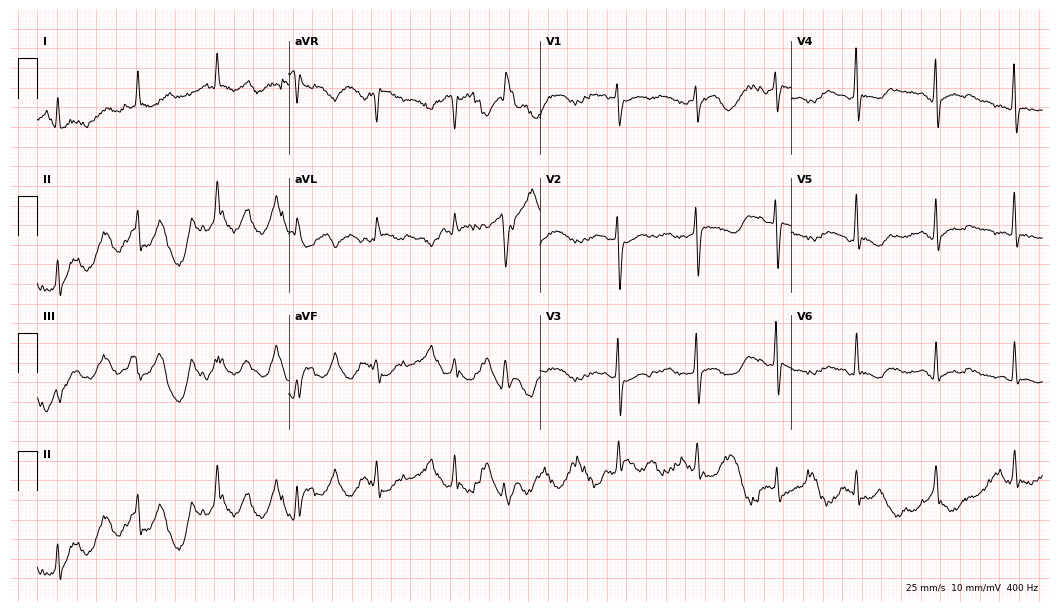
12-lead ECG (10.2-second recording at 400 Hz) from a female patient, 82 years old. Screened for six findings — first-degree AV block, right bundle branch block (RBBB), left bundle branch block (LBBB), sinus bradycardia, atrial fibrillation (AF), sinus tachycardia — none is recorded. Findings outside these six are not listed.